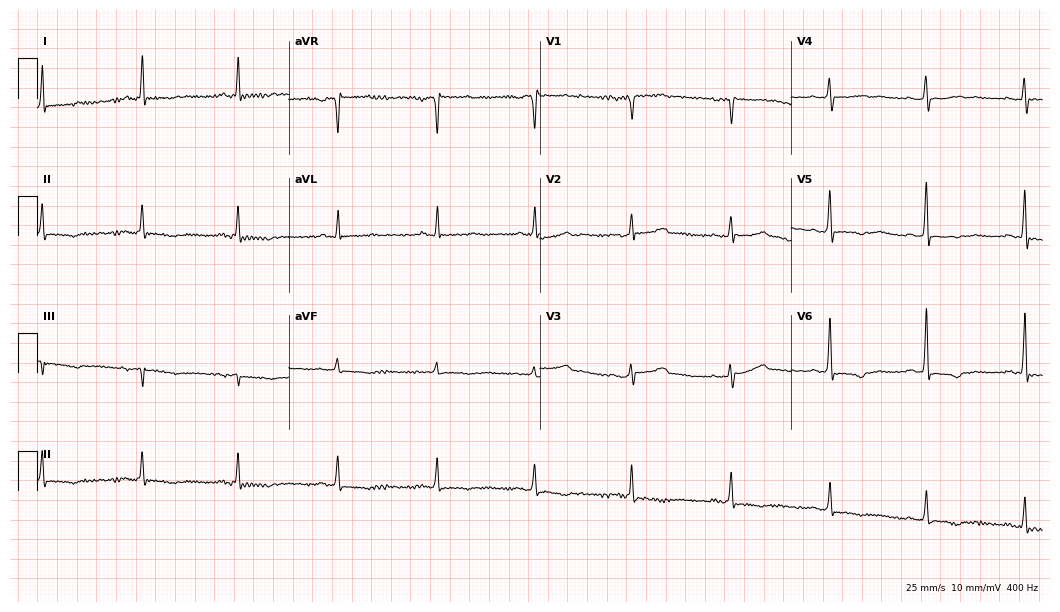
Electrocardiogram (10.2-second recording at 400 Hz), a female patient, 57 years old. Of the six screened findings (first-degree AV block, right bundle branch block (RBBB), left bundle branch block (LBBB), sinus bradycardia, atrial fibrillation (AF), sinus tachycardia), none is recorded.